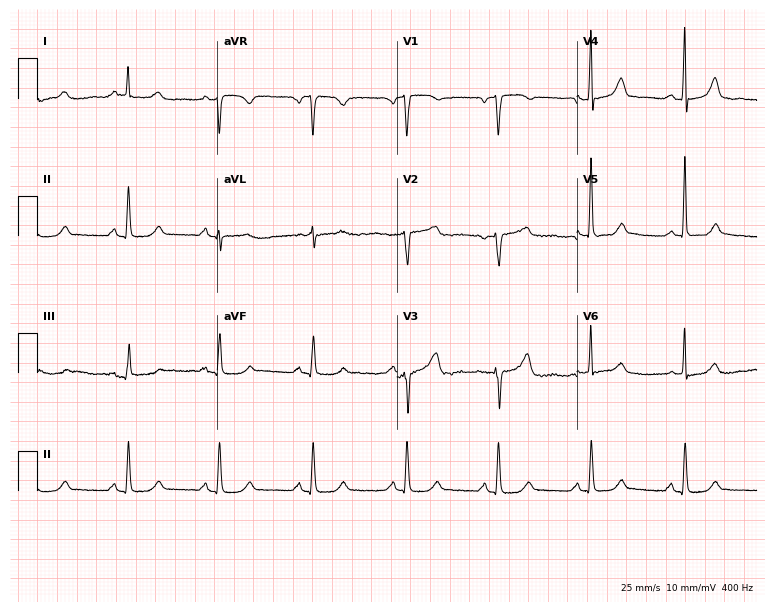
Standard 12-lead ECG recorded from a 69-year-old woman. None of these six findings is recorded: first-degree AV block, right bundle branch block (RBBB), left bundle branch block (LBBB), sinus bradycardia, atrial fibrillation (AF), sinus tachycardia. Only these six findings were labelled.